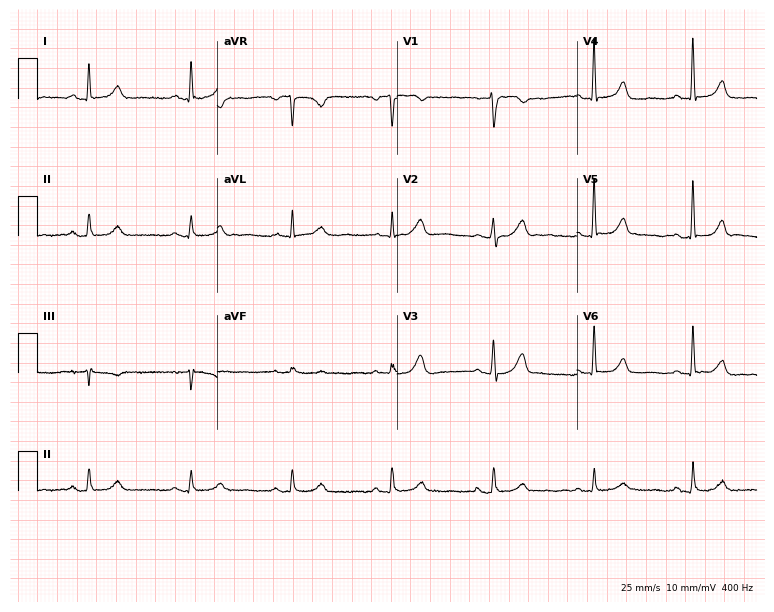
Standard 12-lead ECG recorded from a female patient, 63 years old. Read as a normal ECG.